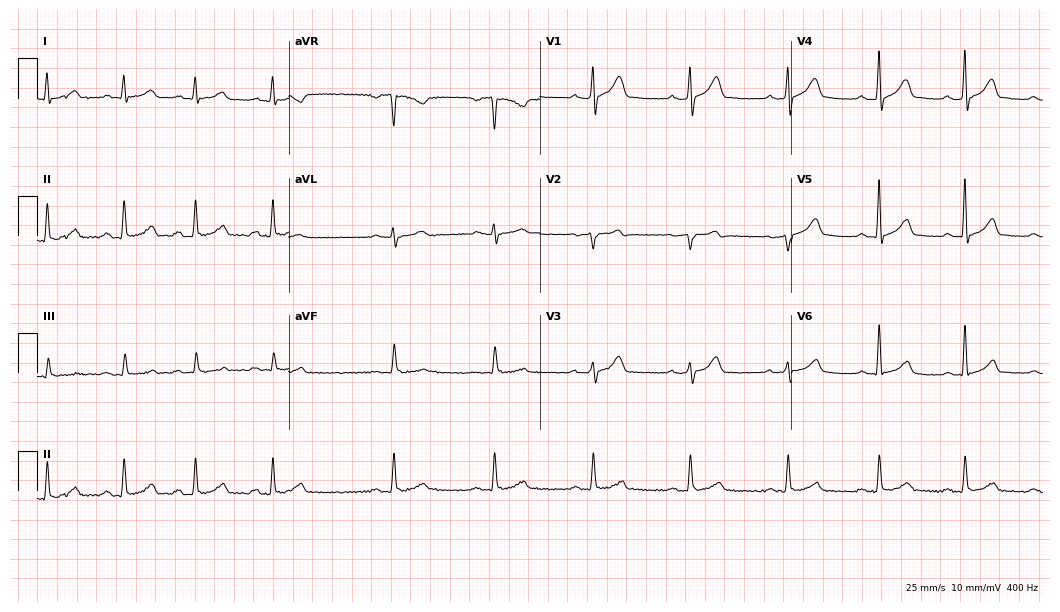
ECG — a 34-year-old male. Labelled as a normal ECG.